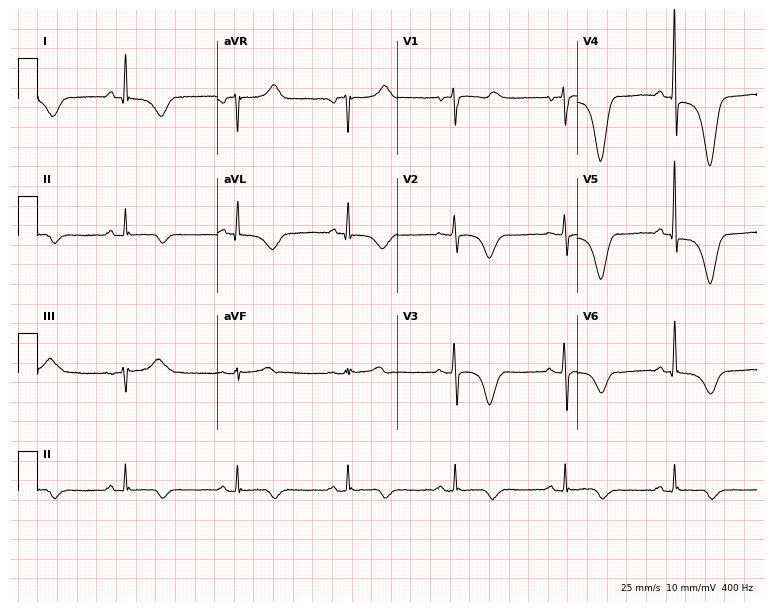
12-lead ECG (7.3-second recording at 400 Hz) from a female patient, 67 years old. Screened for six findings — first-degree AV block, right bundle branch block (RBBB), left bundle branch block (LBBB), sinus bradycardia, atrial fibrillation (AF), sinus tachycardia — none is recorded. Findings outside these six are not listed.